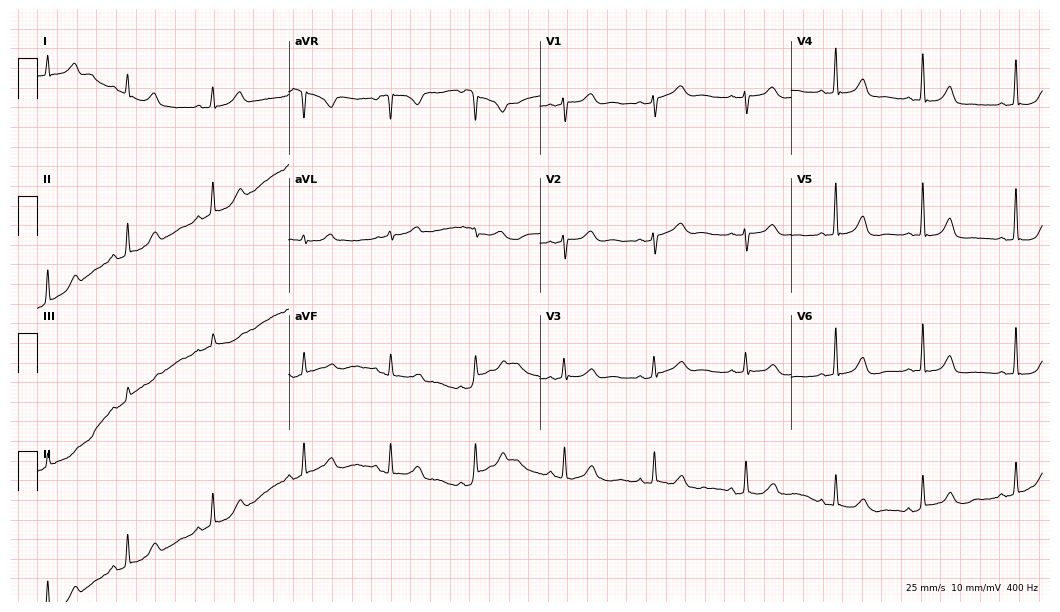
Standard 12-lead ECG recorded from a woman, 47 years old (10.2-second recording at 400 Hz). Read as a normal ECG.